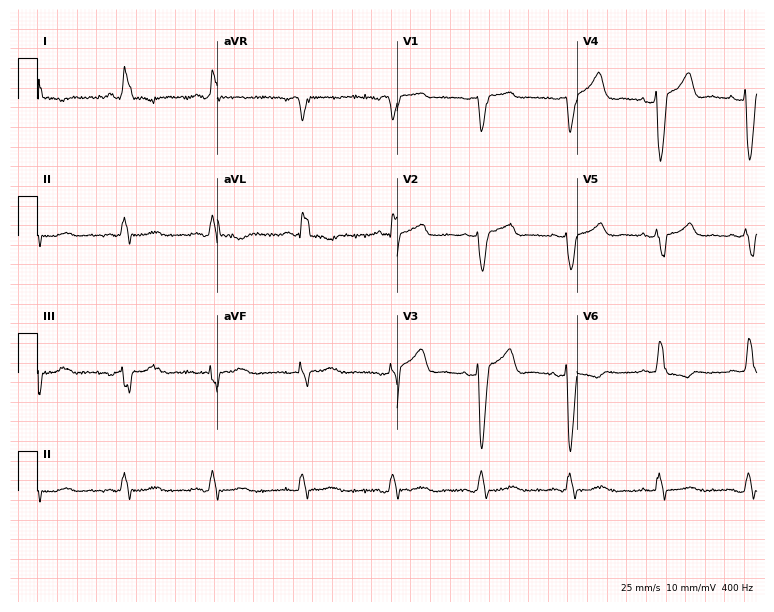
ECG — a female, 69 years old. Findings include left bundle branch block (LBBB).